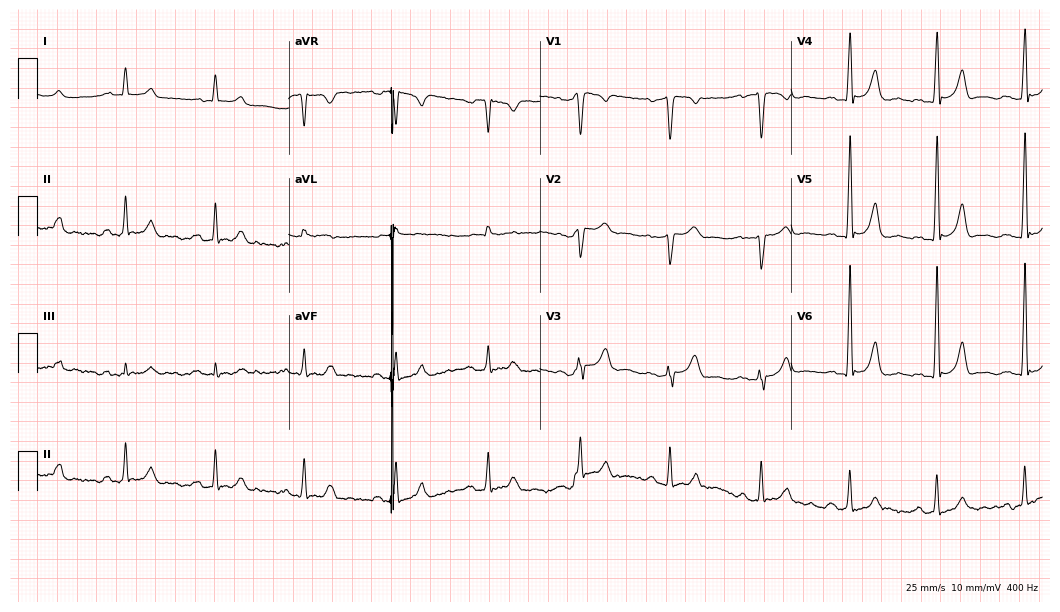
12-lead ECG from a man, 66 years old (10.2-second recording at 400 Hz). Recorded interpretation: within normal limits.